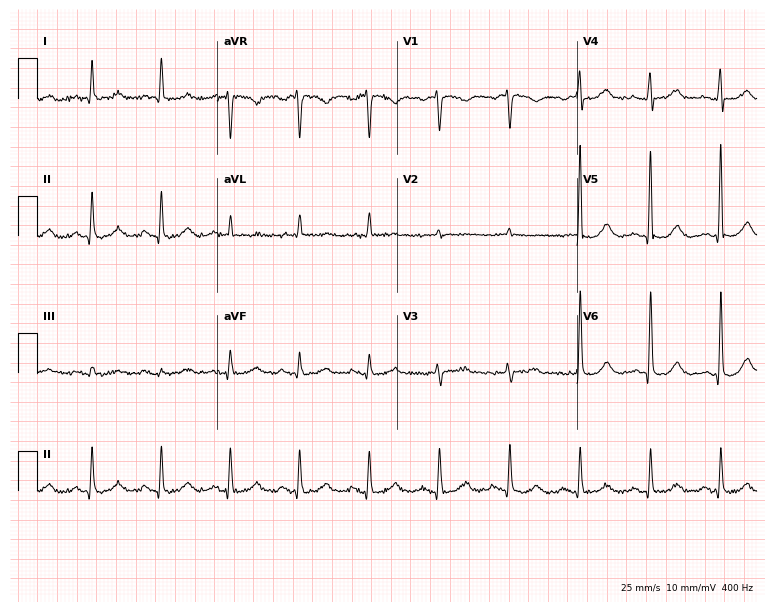
Standard 12-lead ECG recorded from a 64-year-old male. None of these six findings is recorded: first-degree AV block, right bundle branch block (RBBB), left bundle branch block (LBBB), sinus bradycardia, atrial fibrillation (AF), sinus tachycardia.